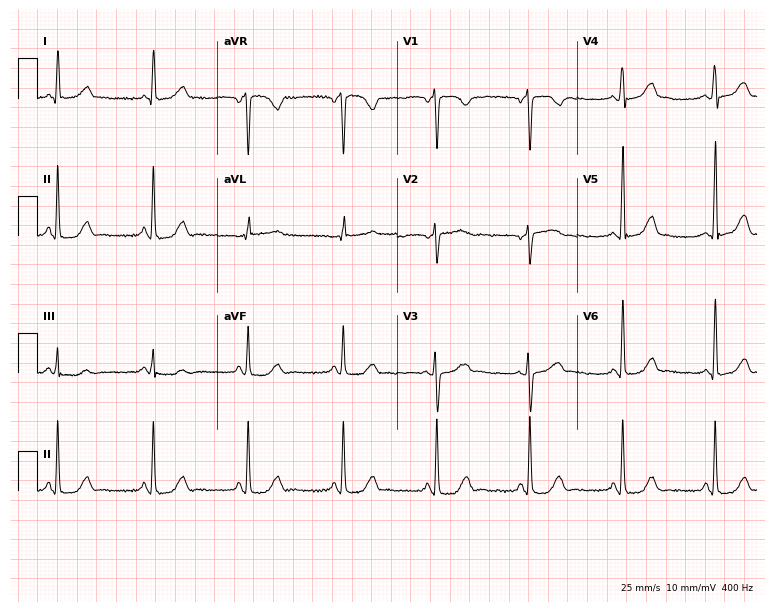
Resting 12-lead electrocardiogram. Patient: a 46-year-old woman. Read as a normal ECG.